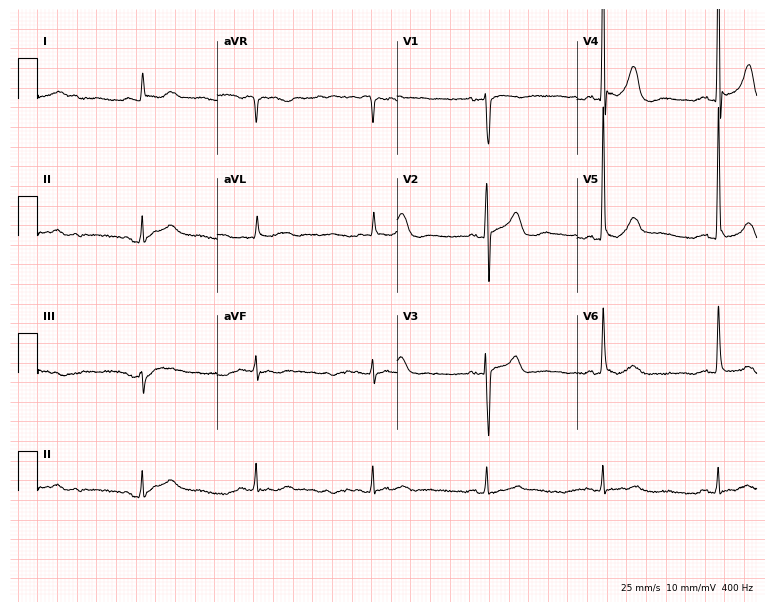
Electrocardiogram (7.3-second recording at 400 Hz), a female patient, 85 years old. Overall reading on record: normal ECG.